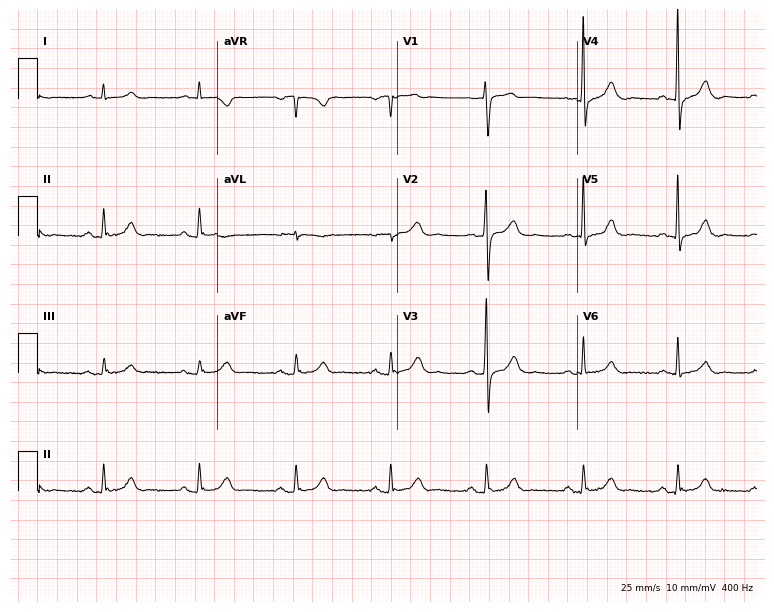
ECG (7.3-second recording at 400 Hz) — a 51-year-old man. Screened for six findings — first-degree AV block, right bundle branch block, left bundle branch block, sinus bradycardia, atrial fibrillation, sinus tachycardia — none is recorded. Findings outside these six are not listed.